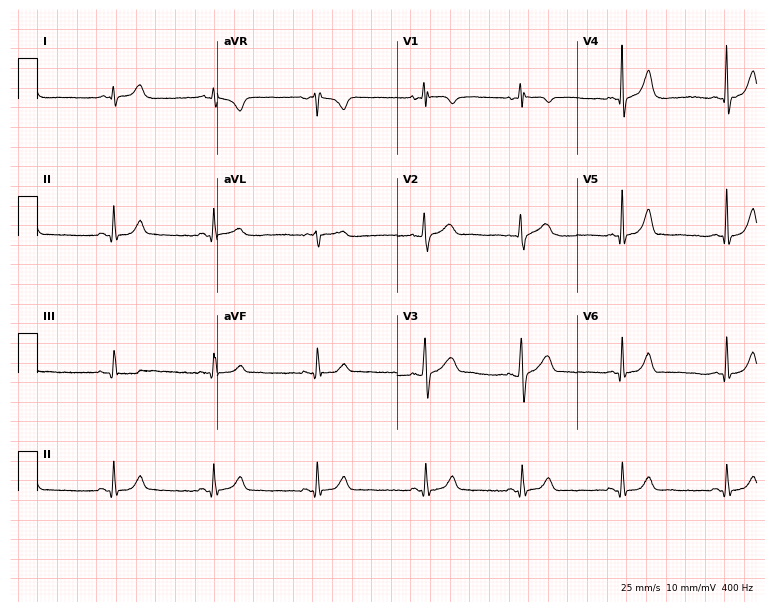
Resting 12-lead electrocardiogram. Patient: a 33-year-old man. Read as a normal ECG.